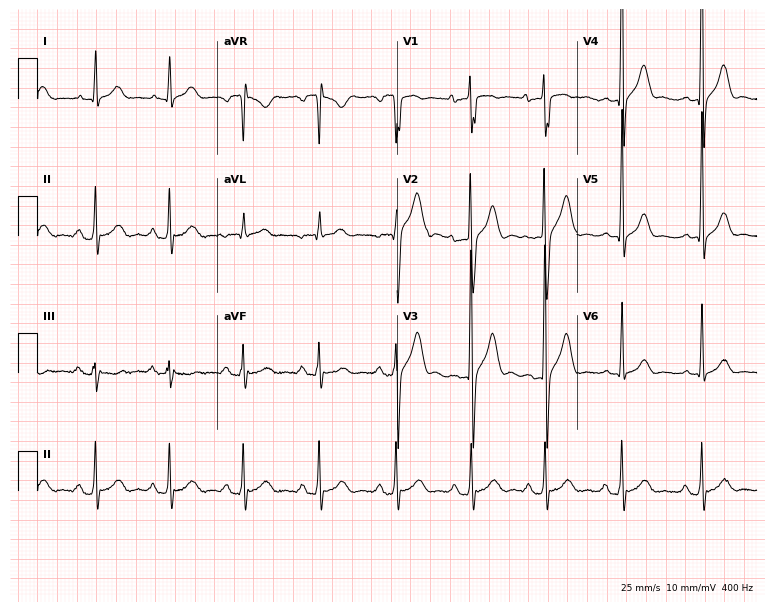
ECG (7.3-second recording at 400 Hz) — a male, 29 years old. Labelled as a normal ECG.